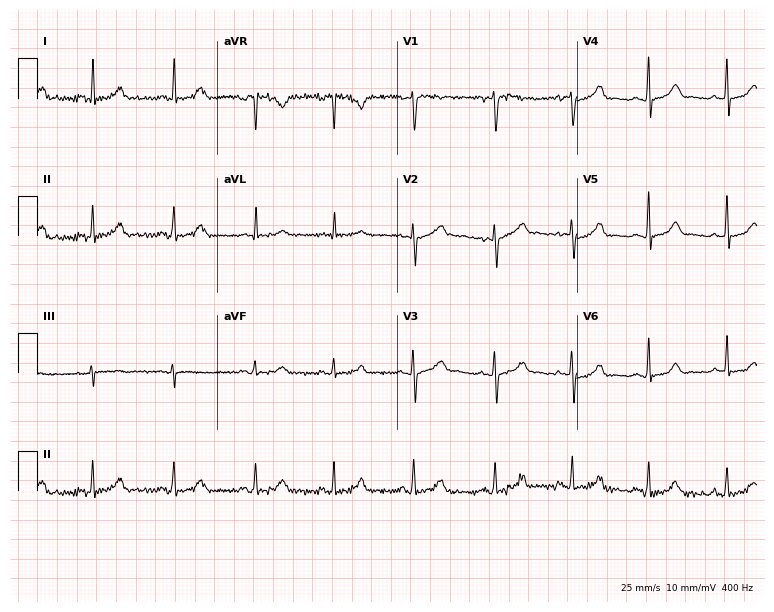
Resting 12-lead electrocardiogram. Patient: a 45-year-old female. Read as a normal ECG.